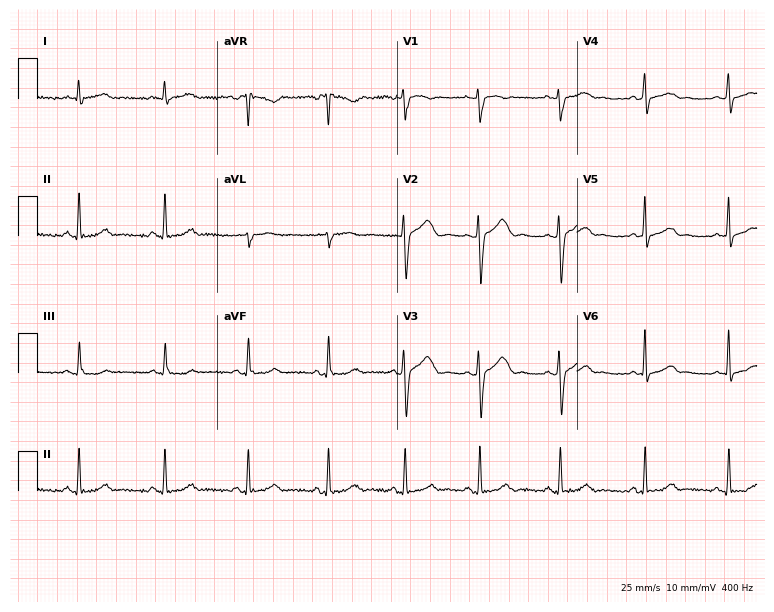
Resting 12-lead electrocardiogram (7.3-second recording at 400 Hz). Patient: a 38-year-old female. Read as a normal ECG.